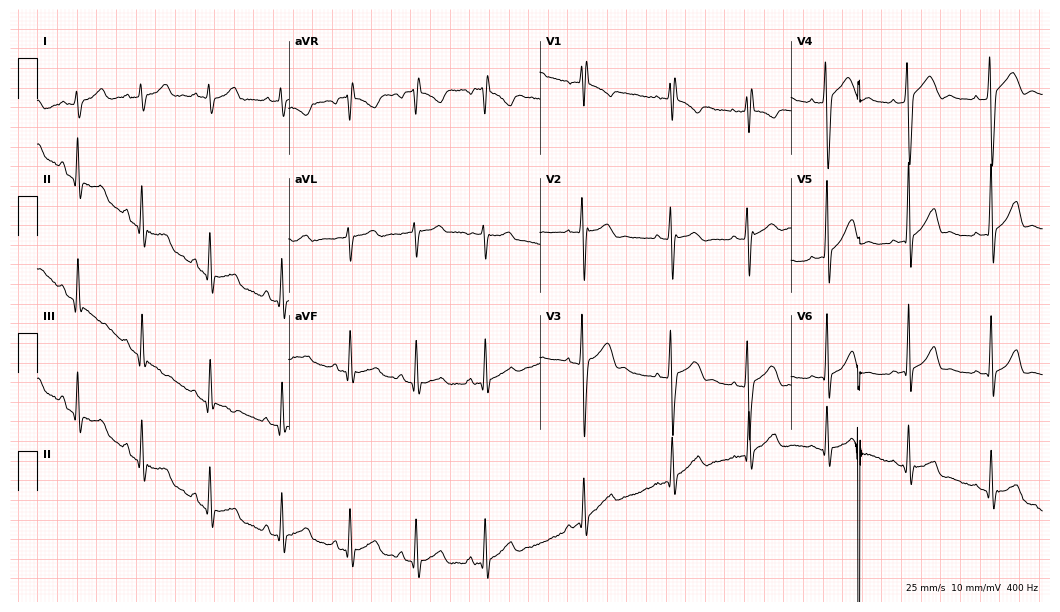
12-lead ECG (10.2-second recording at 400 Hz) from a man, 17 years old. Screened for six findings — first-degree AV block, right bundle branch block, left bundle branch block, sinus bradycardia, atrial fibrillation, sinus tachycardia — none is recorded.